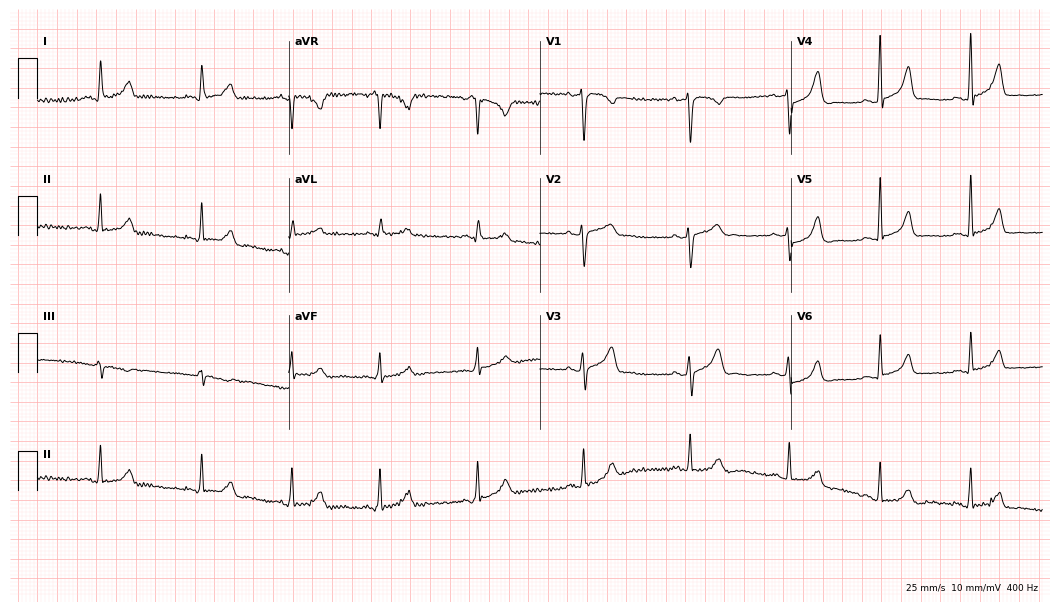
Electrocardiogram, a 44-year-old female patient. Of the six screened findings (first-degree AV block, right bundle branch block, left bundle branch block, sinus bradycardia, atrial fibrillation, sinus tachycardia), none is recorded.